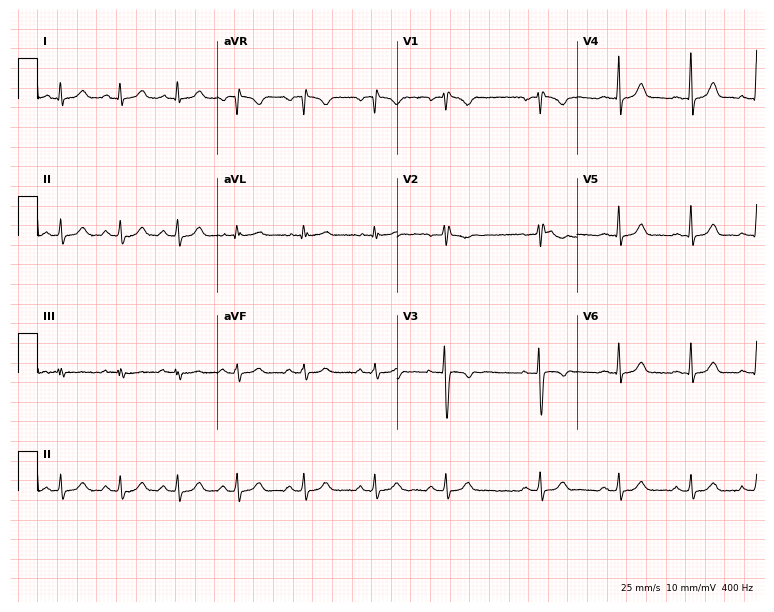
12-lead ECG from an 18-year-old female patient (7.3-second recording at 400 Hz). Recorded interpretation: within normal limits.